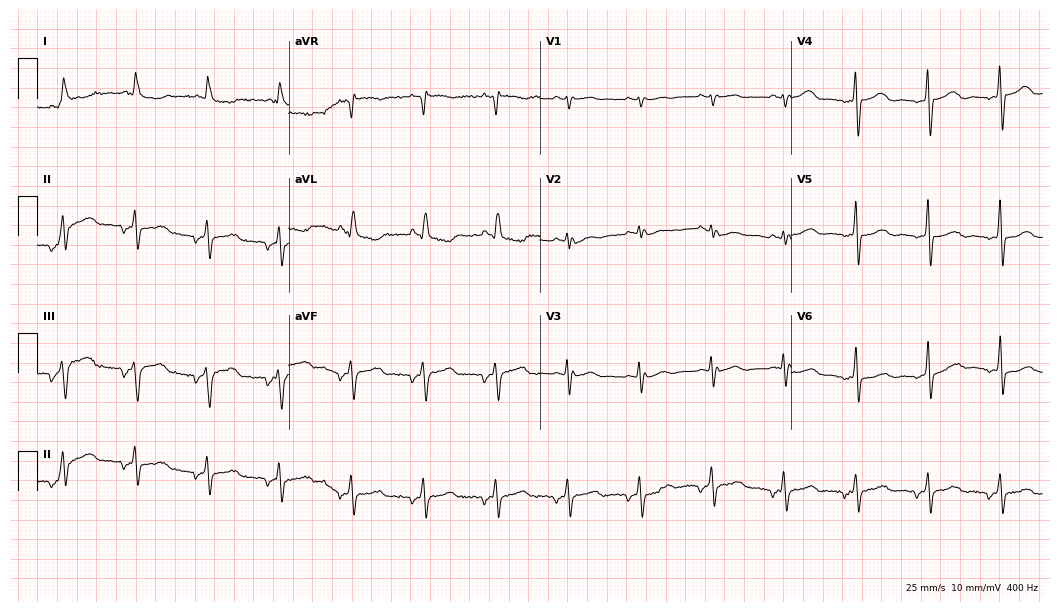
Resting 12-lead electrocardiogram. Patient: a 69-year-old female. None of these six findings is recorded: first-degree AV block, right bundle branch block, left bundle branch block, sinus bradycardia, atrial fibrillation, sinus tachycardia.